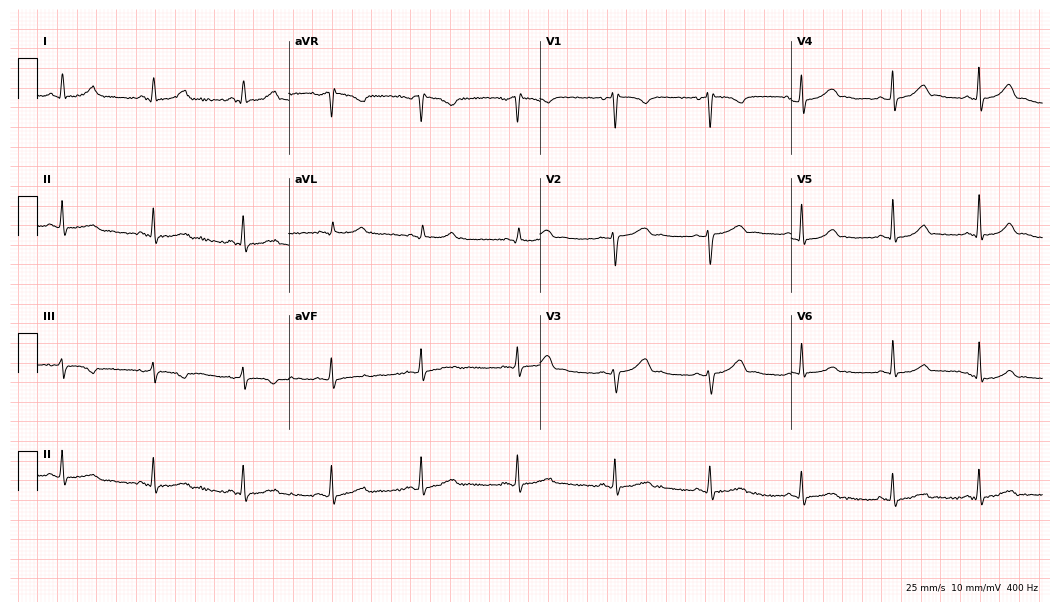
12-lead ECG from a 30-year-old woman. No first-degree AV block, right bundle branch block, left bundle branch block, sinus bradycardia, atrial fibrillation or sinus tachycardia recorded for this tracing. Findings outside these six are not listed.